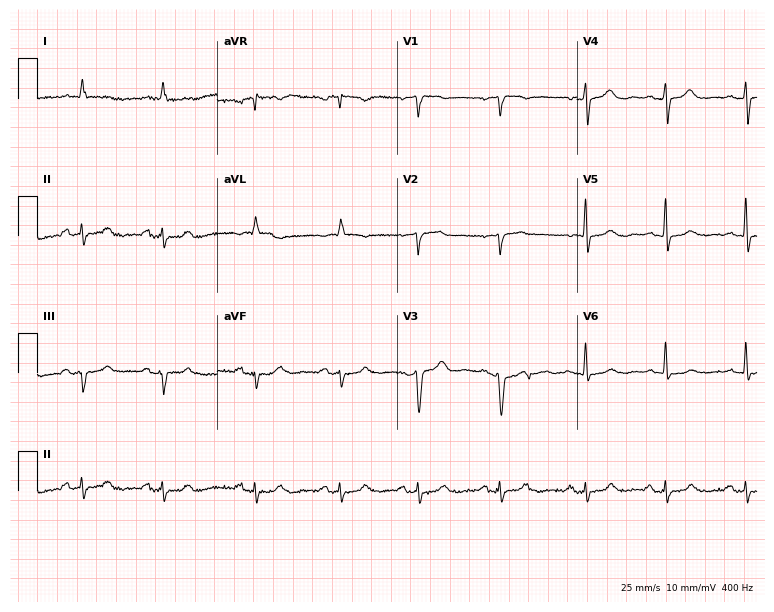
Electrocardiogram (7.3-second recording at 400 Hz), a 72-year-old female. Of the six screened findings (first-degree AV block, right bundle branch block (RBBB), left bundle branch block (LBBB), sinus bradycardia, atrial fibrillation (AF), sinus tachycardia), none is recorded. Only these six findings were labelled.